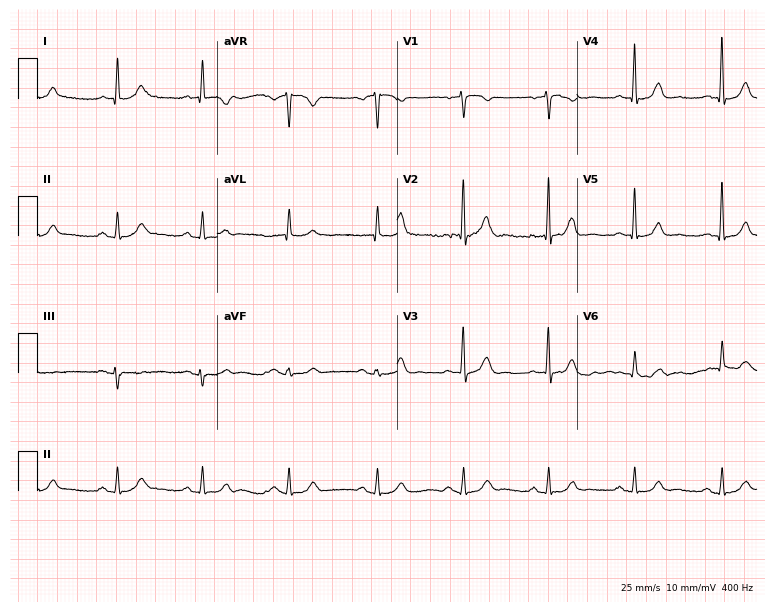
Electrocardiogram (7.3-second recording at 400 Hz), a man, 60 years old. Overall reading on record: normal ECG.